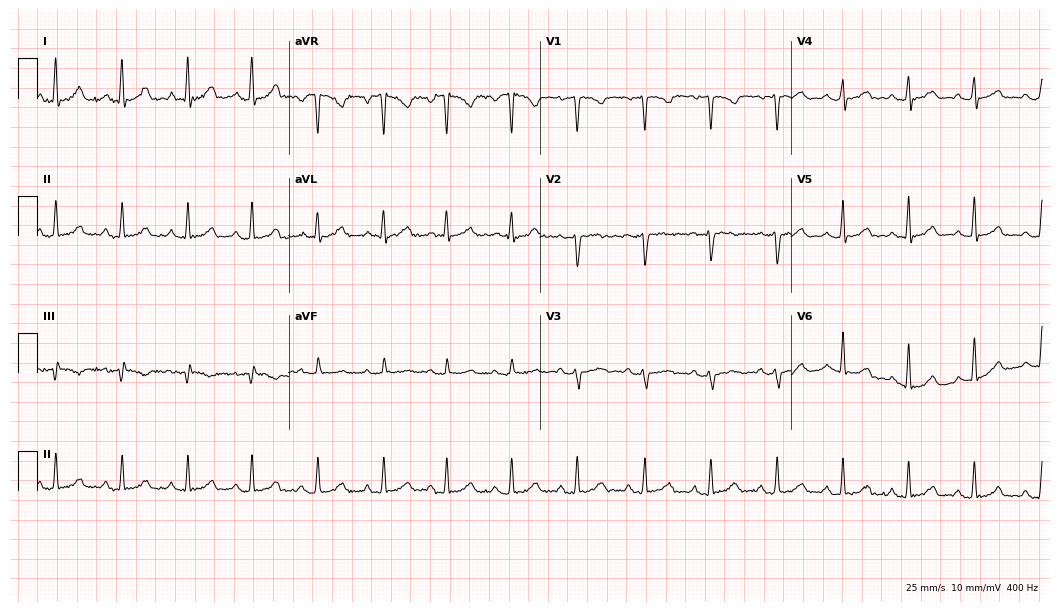
Electrocardiogram, a 43-year-old female patient. Overall reading on record: normal ECG.